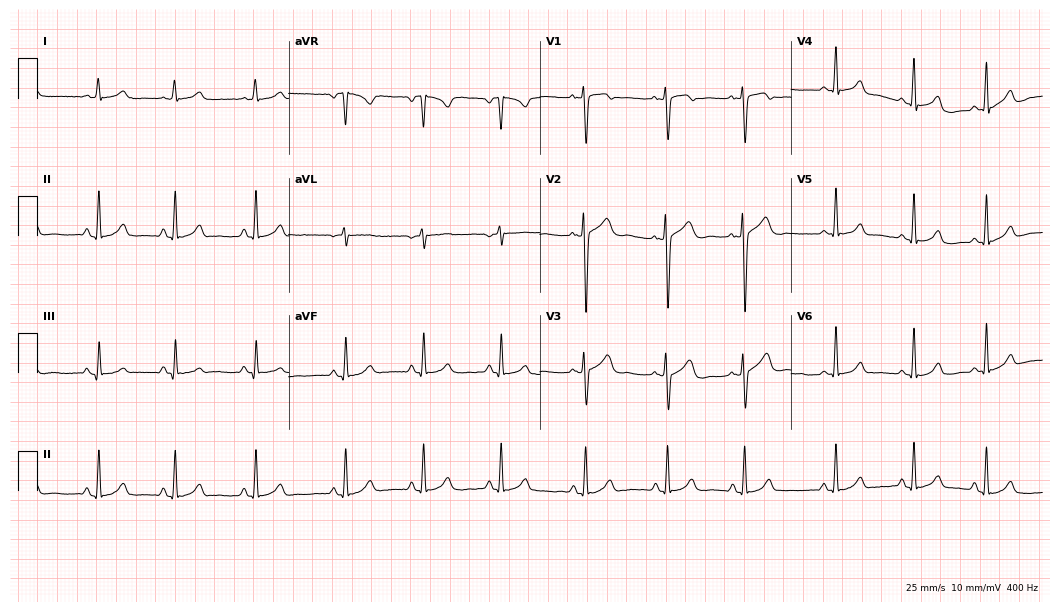
Standard 12-lead ECG recorded from a 32-year-old female. None of these six findings is recorded: first-degree AV block, right bundle branch block, left bundle branch block, sinus bradycardia, atrial fibrillation, sinus tachycardia.